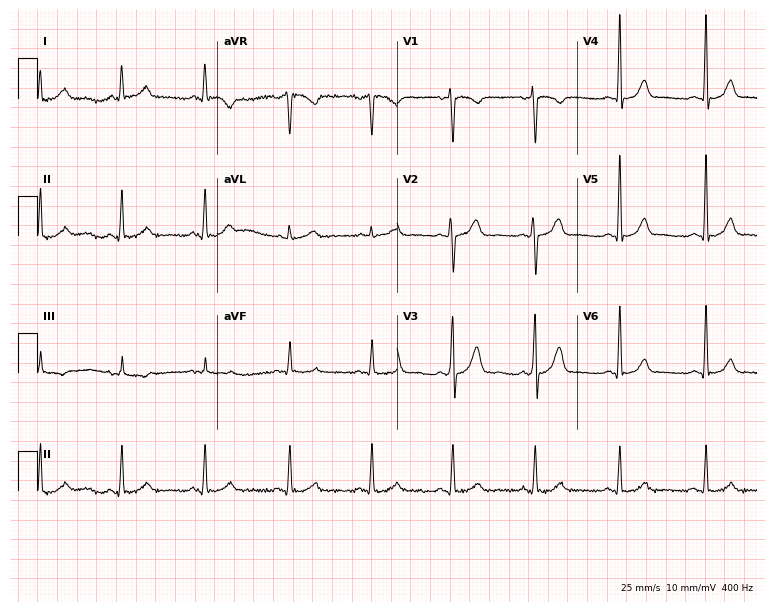
Resting 12-lead electrocardiogram (7.3-second recording at 400 Hz). Patient: a male, 42 years old. Read as a normal ECG.